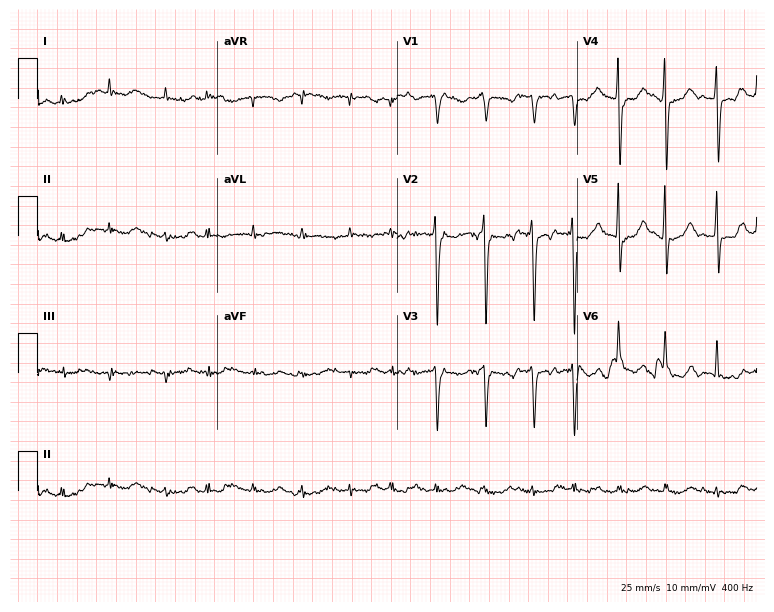
ECG (7.3-second recording at 400 Hz) — a male patient, 82 years old. Findings include atrial fibrillation.